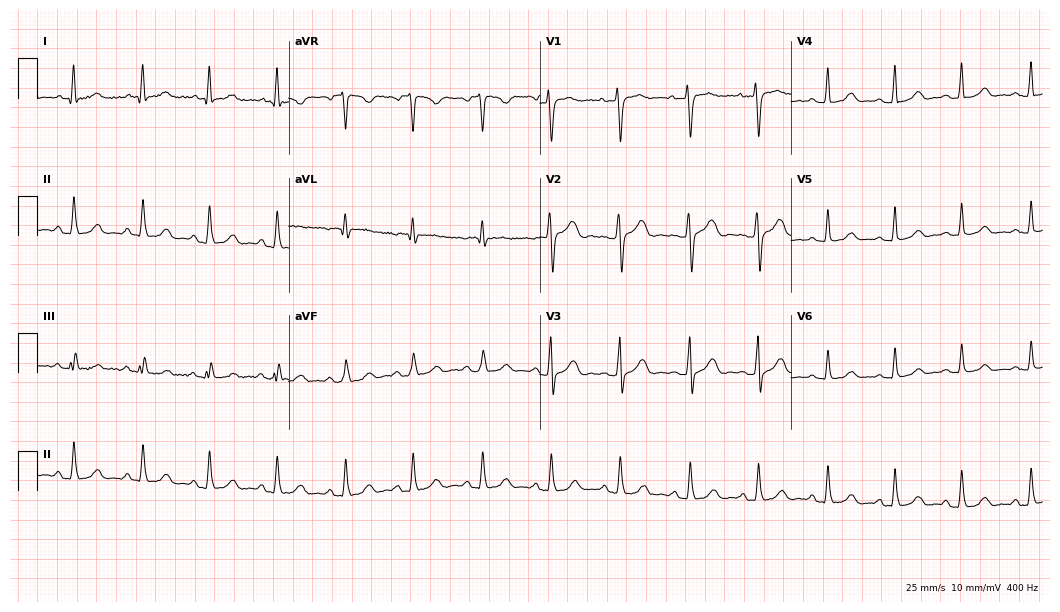
12-lead ECG (10.2-second recording at 400 Hz) from a 43-year-old female. Labelled as a normal ECG.